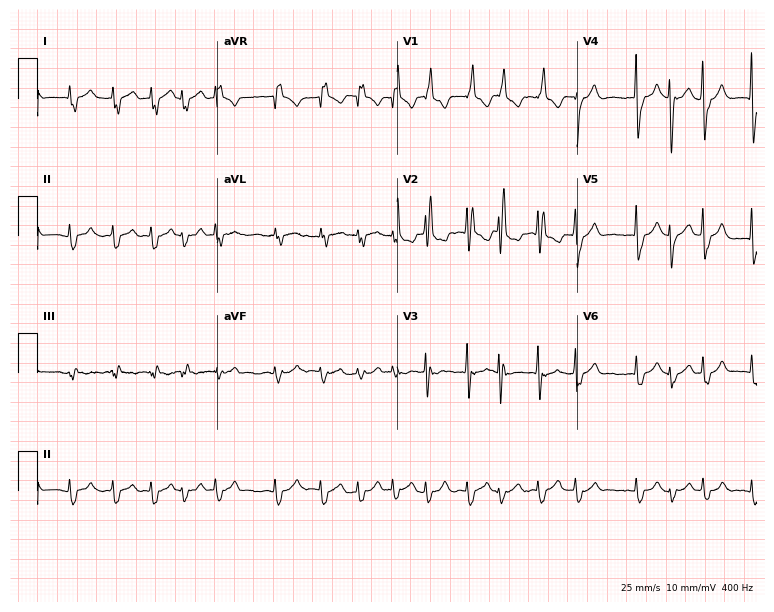
Electrocardiogram (7.3-second recording at 400 Hz), a man, 82 years old. Of the six screened findings (first-degree AV block, right bundle branch block, left bundle branch block, sinus bradycardia, atrial fibrillation, sinus tachycardia), none is recorded.